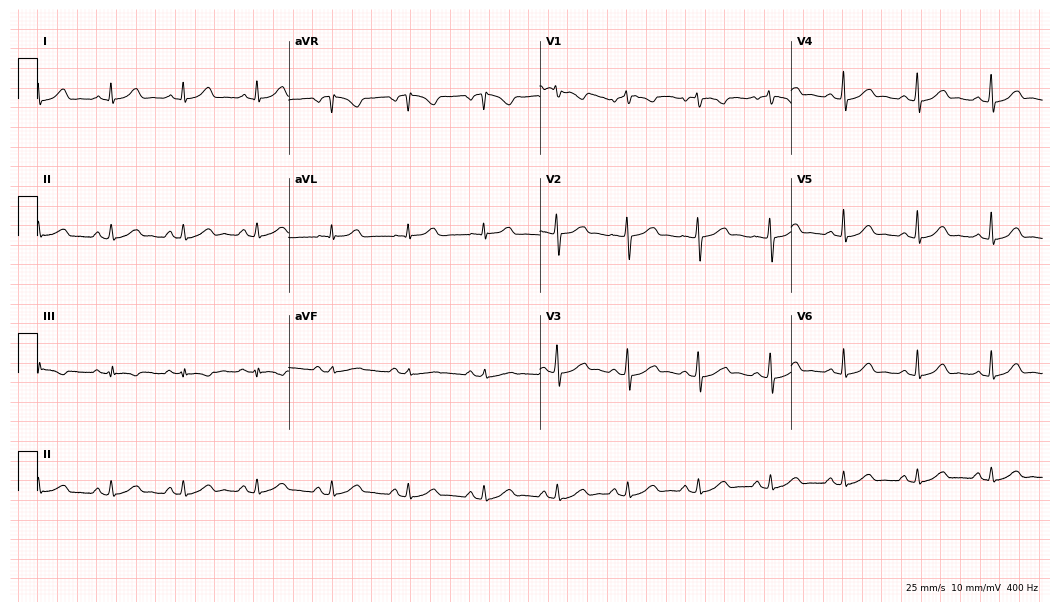
Electrocardiogram, a female, 44 years old. Overall reading on record: normal ECG.